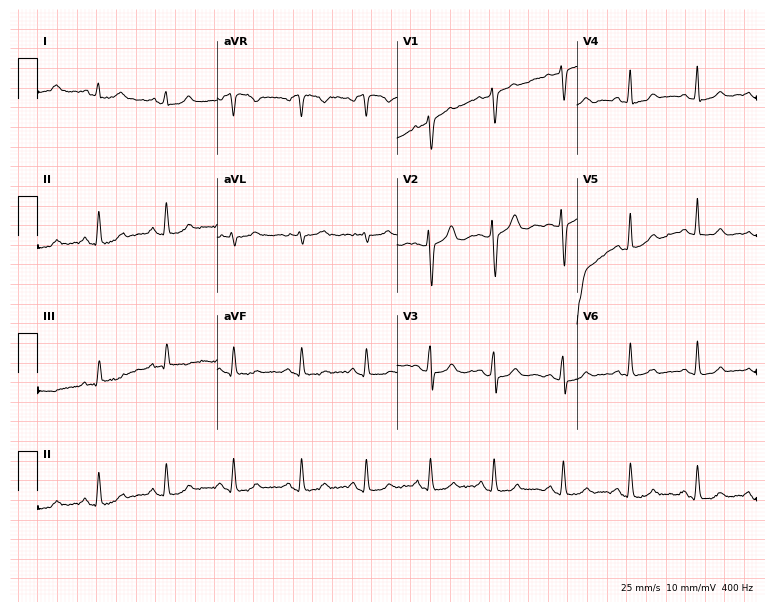
Resting 12-lead electrocardiogram (7.3-second recording at 400 Hz). Patient: a 22-year-old woman. None of these six findings is recorded: first-degree AV block, right bundle branch block, left bundle branch block, sinus bradycardia, atrial fibrillation, sinus tachycardia.